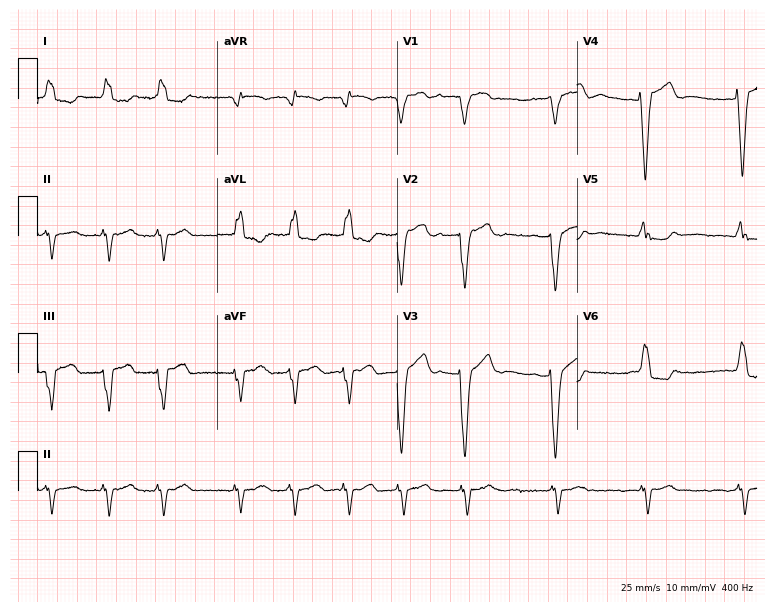
Resting 12-lead electrocardiogram (7.3-second recording at 400 Hz). Patient: a female, 85 years old. The tracing shows left bundle branch block, atrial fibrillation.